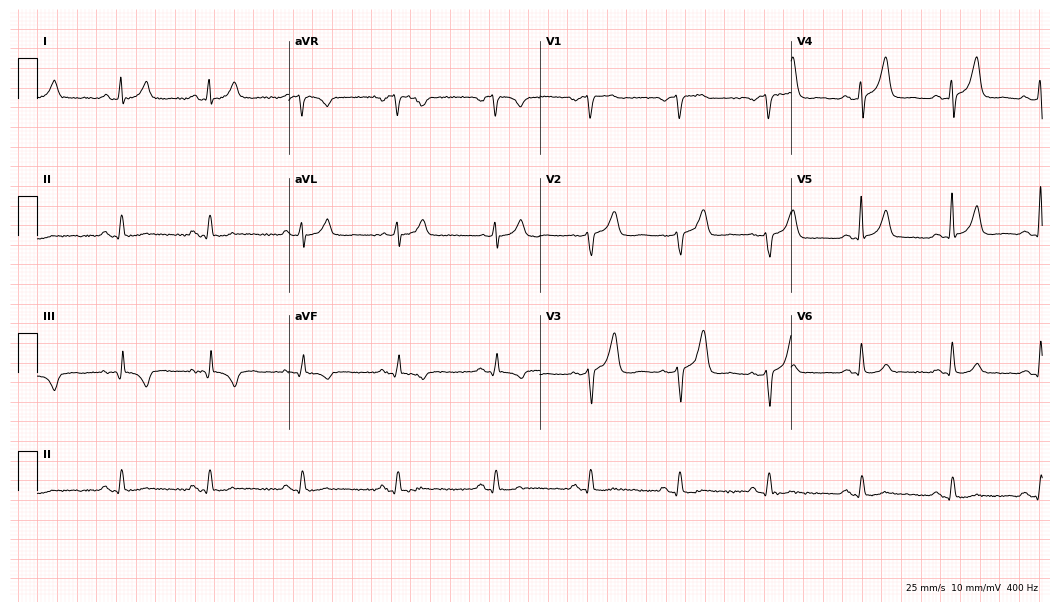
Standard 12-lead ECG recorded from a male patient, 51 years old. None of these six findings is recorded: first-degree AV block, right bundle branch block, left bundle branch block, sinus bradycardia, atrial fibrillation, sinus tachycardia. Other findings, if any, are not listed.